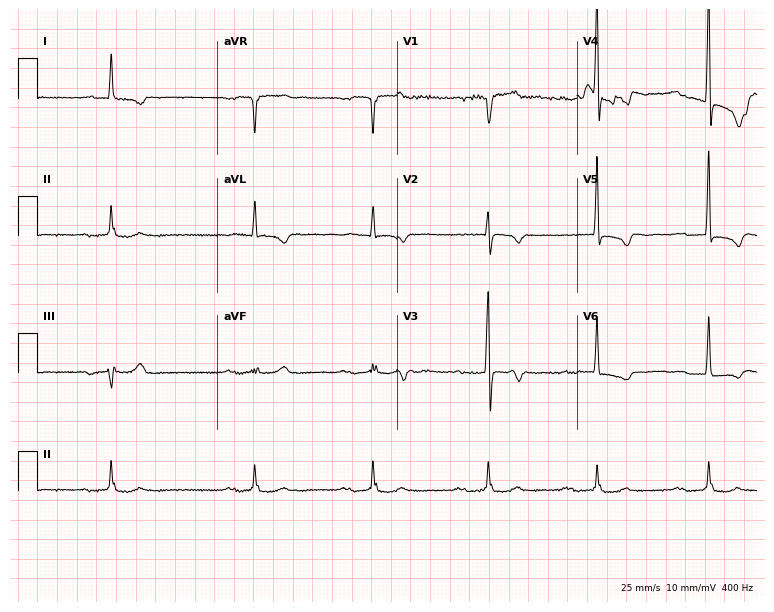
Resting 12-lead electrocardiogram. Patient: an 84-year-old man. None of these six findings is recorded: first-degree AV block, right bundle branch block, left bundle branch block, sinus bradycardia, atrial fibrillation, sinus tachycardia. Findings outside these six are not listed.